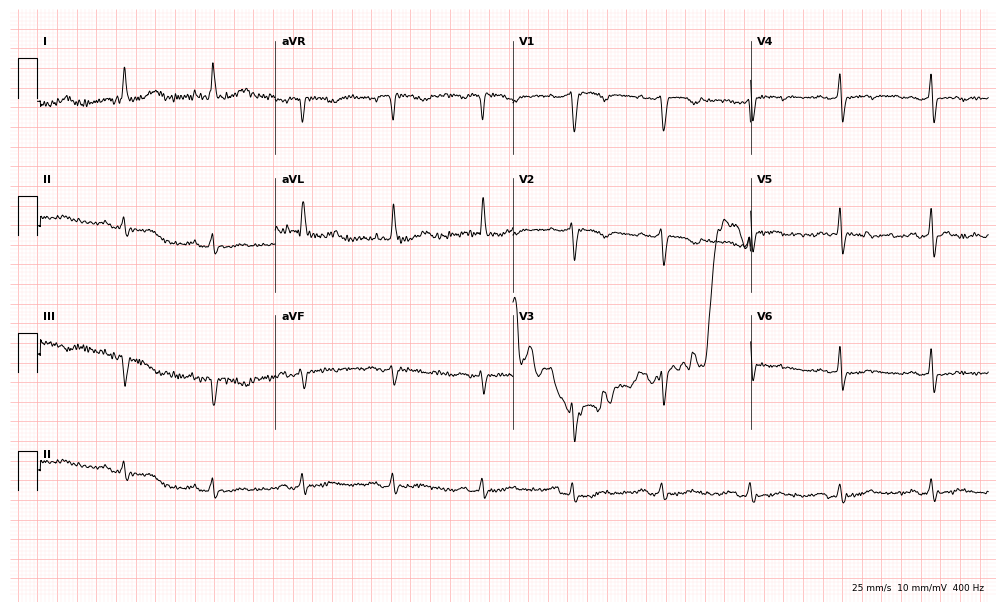
ECG (9.7-second recording at 400 Hz) — a 77-year-old woman. Screened for six findings — first-degree AV block, right bundle branch block, left bundle branch block, sinus bradycardia, atrial fibrillation, sinus tachycardia — none is recorded. Other findings, if any, are not listed.